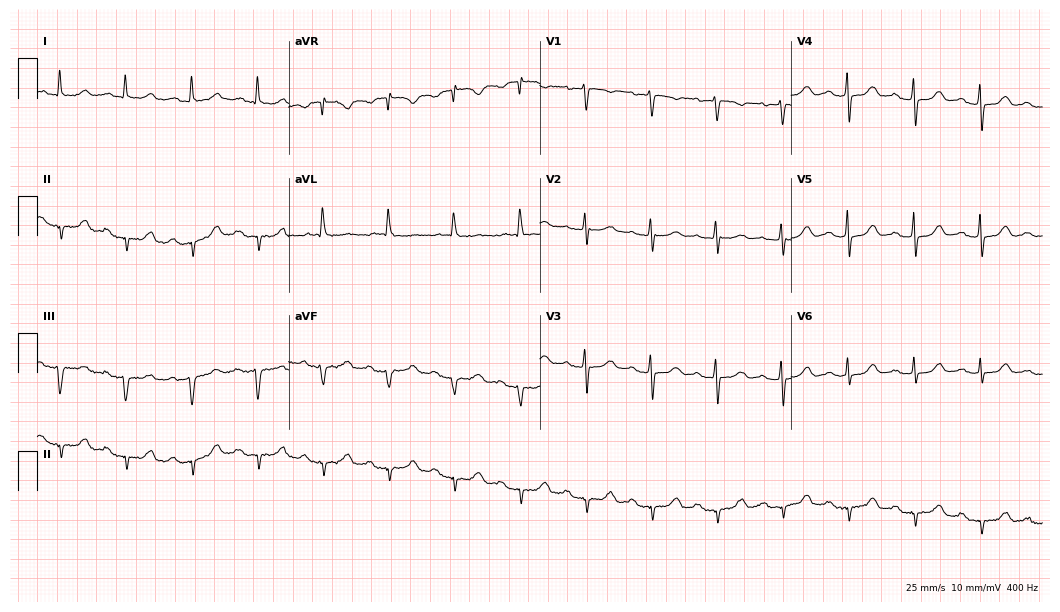
12-lead ECG (10.2-second recording at 400 Hz) from a woman, 79 years old. Screened for six findings — first-degree AV block, right bundle branch block, left bundle branch block, sinus bradycardia, atrial fibrillation, sinus tachycardia — none is recorded. Only these six findings were labelled.